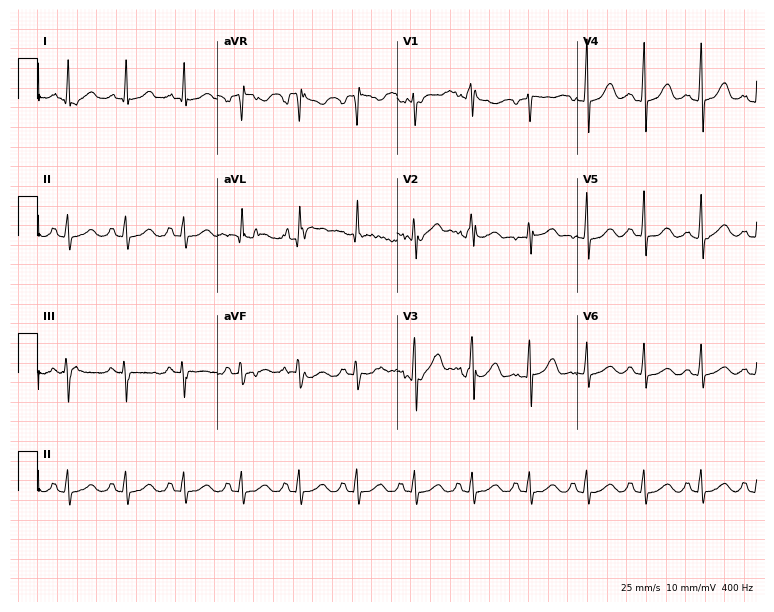
ECG (7.3-second recording at 400 Hz) — a 48-year-old female patient. Screened for six findings — first-degree AV block, right bundle branch block, left bundle branch block, sinus bradycardia, atrial fibrillation, sinus tachycardia — none is recorded.